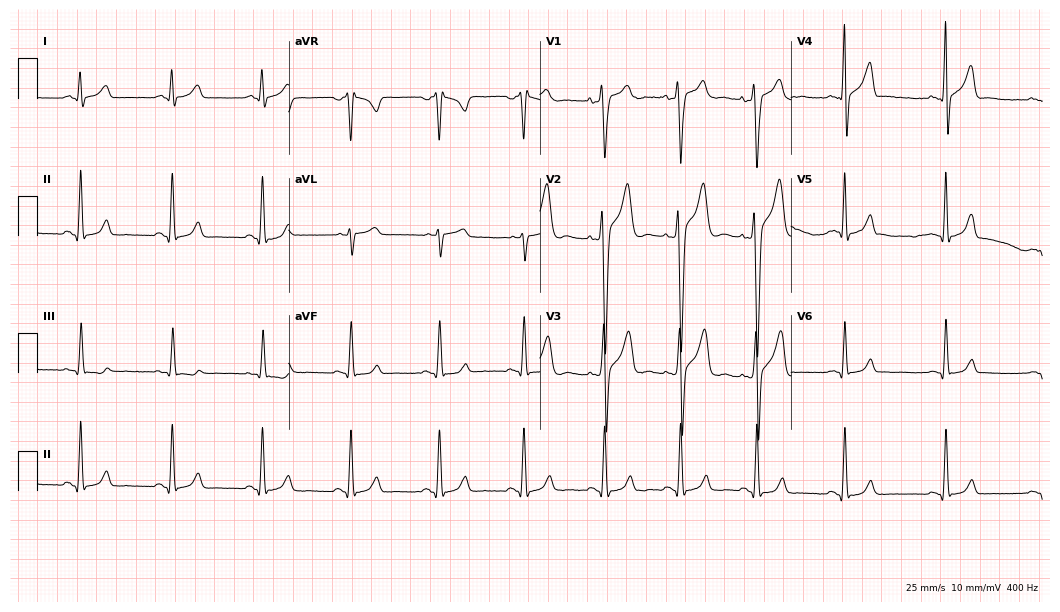
Standard 12-lead ECG recorded from a male, 20 years old. None of these six findings is recorded: first-degree AV block, right bundle branch block, left bundle branch block, sinus bradycardia, atrial fibrillation, sinus tachycardia. Only these six findings were labelled.